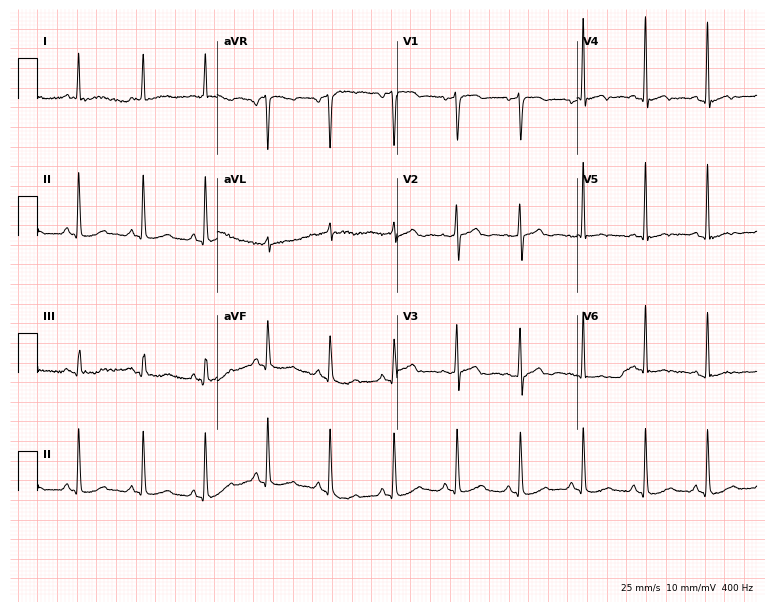
Resting 12-lead electrocardiogram (7.3-second recording at 400 Hz). Patient: a 68-year-old female. None of these six findings is recorded: first-degree AV block, right bundle branch block, left bundle branch block, sinus bradycardia, atrial fibrillation, sinus tachycardia. Findings outside these six are not listed.